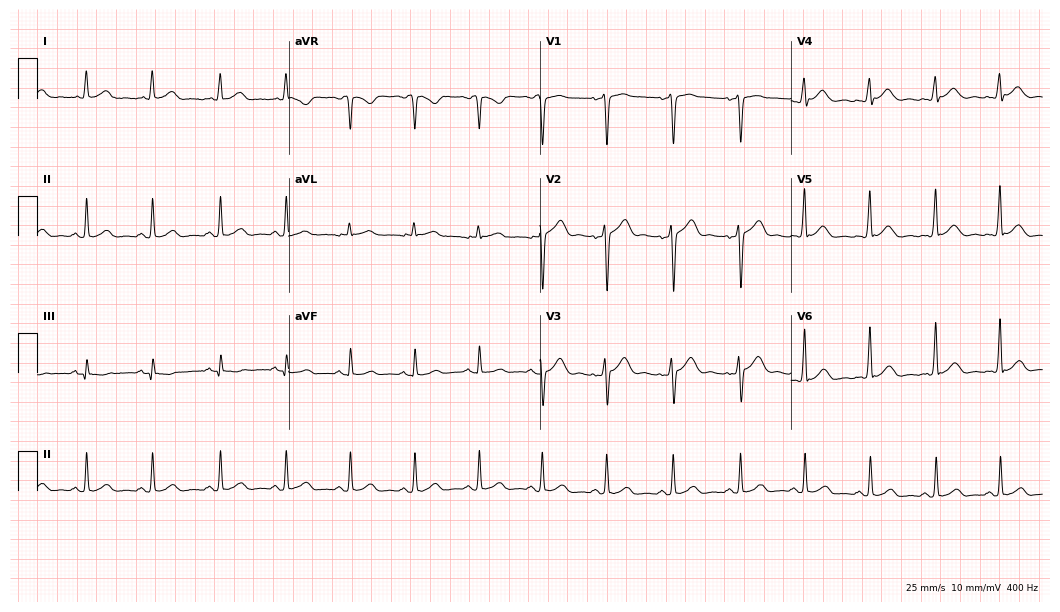
ECG — a 37-year-old male. Labelled as a normal ECG.